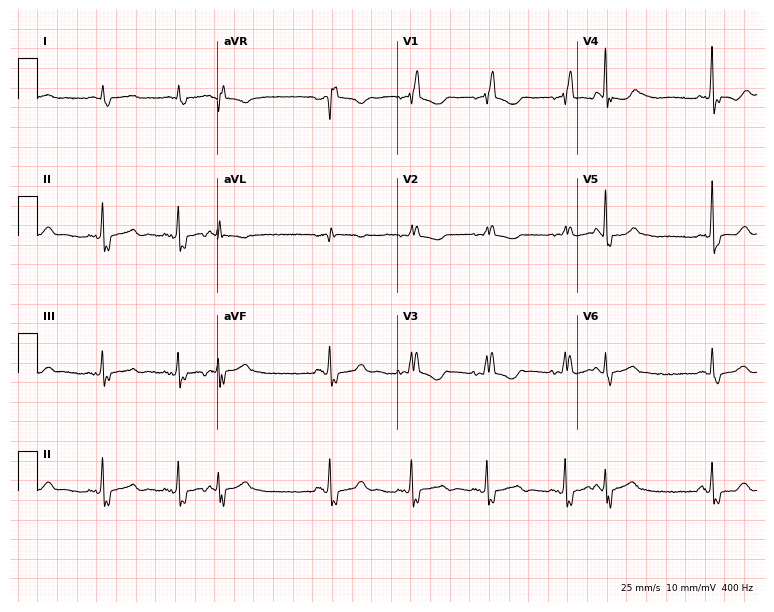
Standard 12-lead ECG recorded from a female, 81 years old (7.3-second recording at 400 Hz). None of these six findings is recorded: first-degree AV block, right bundle branch block, left bundle branch block, sinus bradycardia, atrial fibrillation, sinus tachycardia. Only these six findings were labelled.